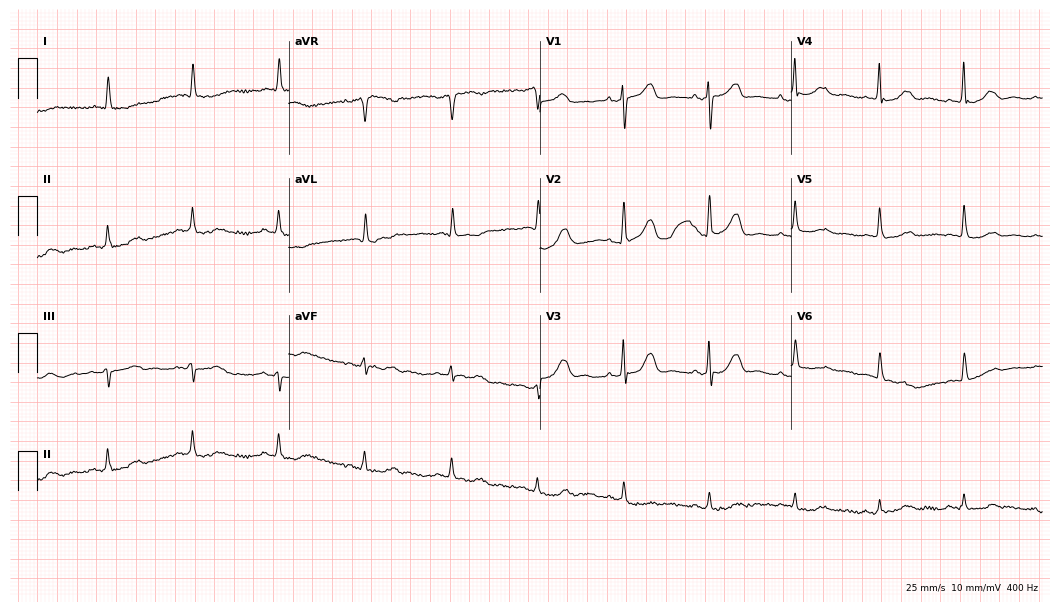
ECG — a 79-year-old woman. Screened for six findings — first-degree AV block, right bundle branch block (RBBB), left bundle branch block (LBBB), sinus bradycardia, atrial fibrillation (AF), sinus tachycardia — none is recorded. Findings outside these six are not listed.